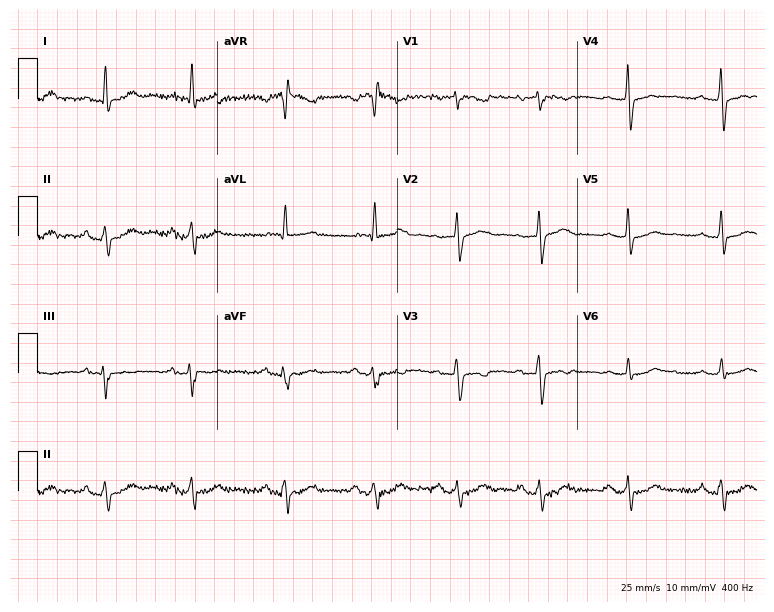
ECG (7.3-second recording at 400 Hz) — a 57-year-old female. Screened for six findings — first-degree AV block, right bundle branch block, left bundle branch block, sinus bradycardia, atrial fibrillation, sinus tachycardia — none is recorded. Findings outside these six are not listed.